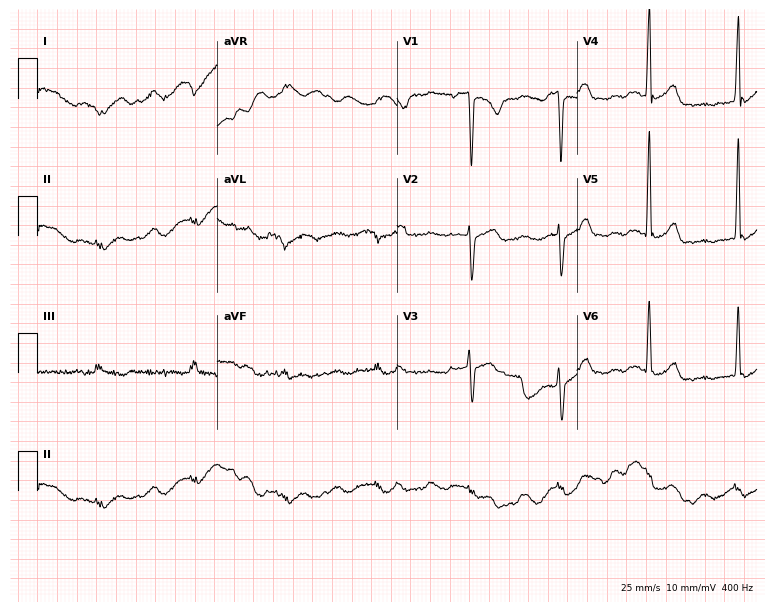
Electrocardiogram (7.3-second recording at 400 Hz), a 42-year-old man. Of the six screened findings (first-degree AV block, right bundle branch block, left bundle branch block, sinus bradycardia, atrial fibrillation, sinus tachycardia), none is recorded. Only these six findings were labelled.